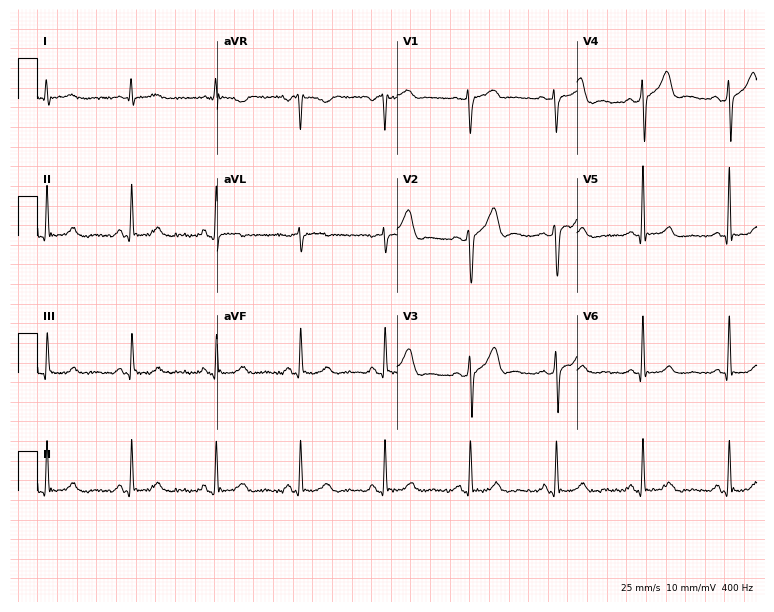
12-lead ECG from a 41-year-old male. Recorded interpretation: within normal limits.